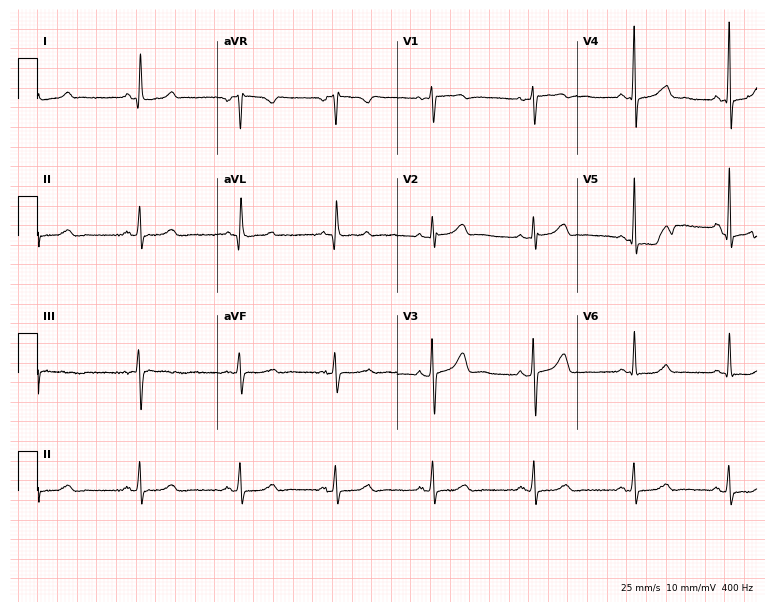
Electrocardiogram (7.3-second recording at 400 Hz), a female, 43 years old. Overall reading on record: normal ECG.